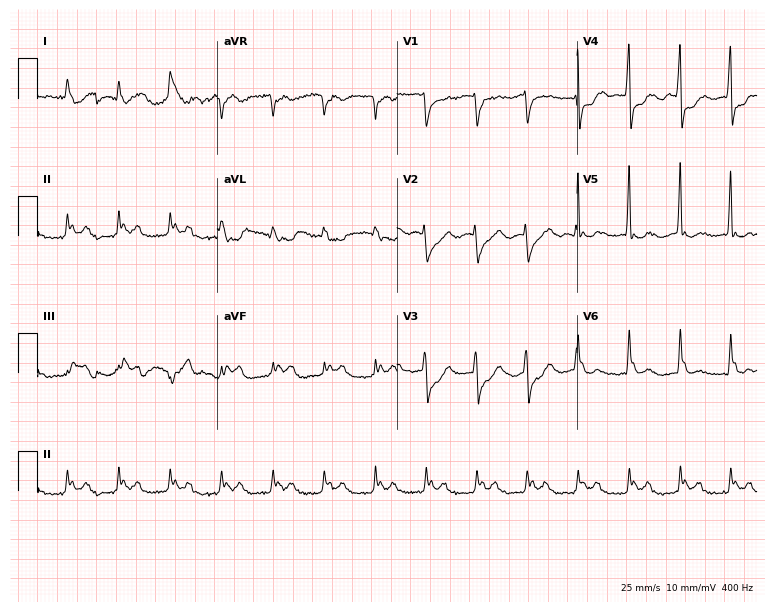
Standard 12-lead ECG recorded from an 82-year-old male. The tracing shows first-degree AV block, left bundle branch block, sinus tachycardia (a sinus rate of 100 beats per minute or more).